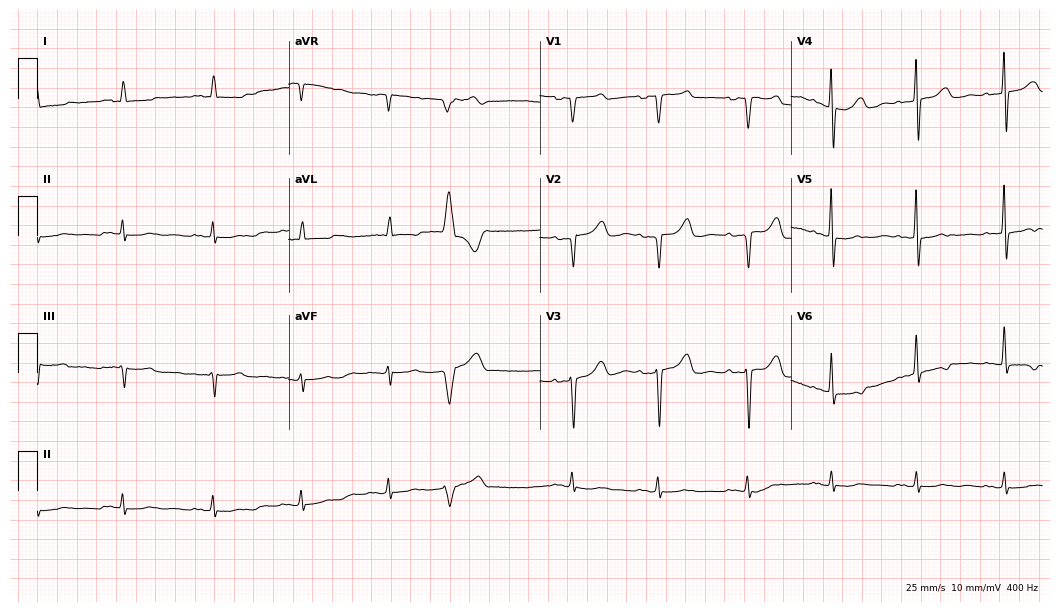
12-lead ECG from a female patient, 71 years old (10.2-second recording at 400 Hz). No first-degree AV block, right bundle branch block, left bundle branch block, sinus bradycardia, atrial fibrillation or sinus tachycardia recorded for this tracing. Only these six findings were labelled.